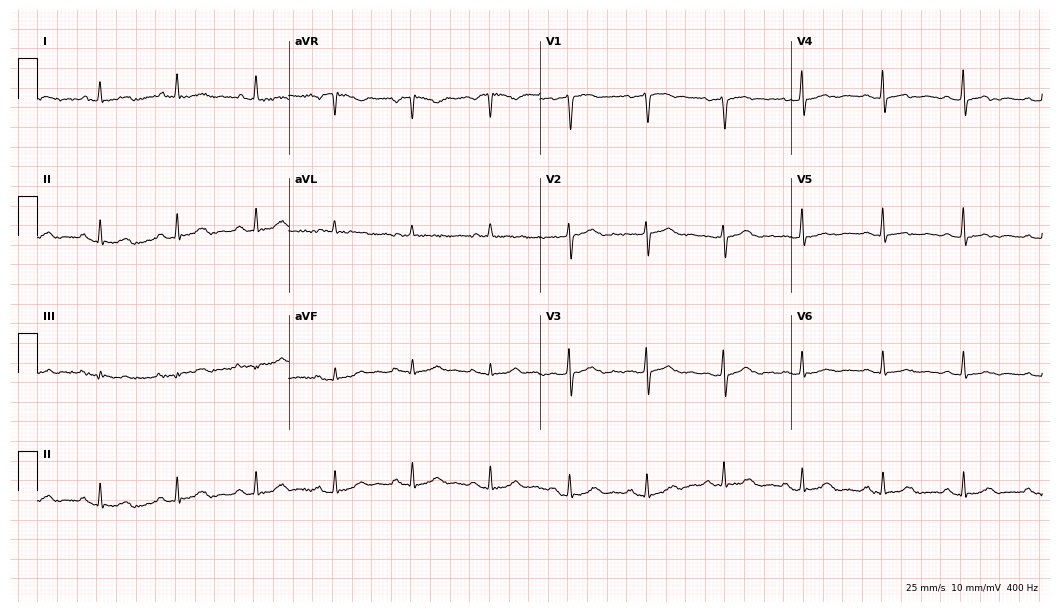
Standard 12-lead ECG recorded from a 76-year-old female. Read as a normal ECG.